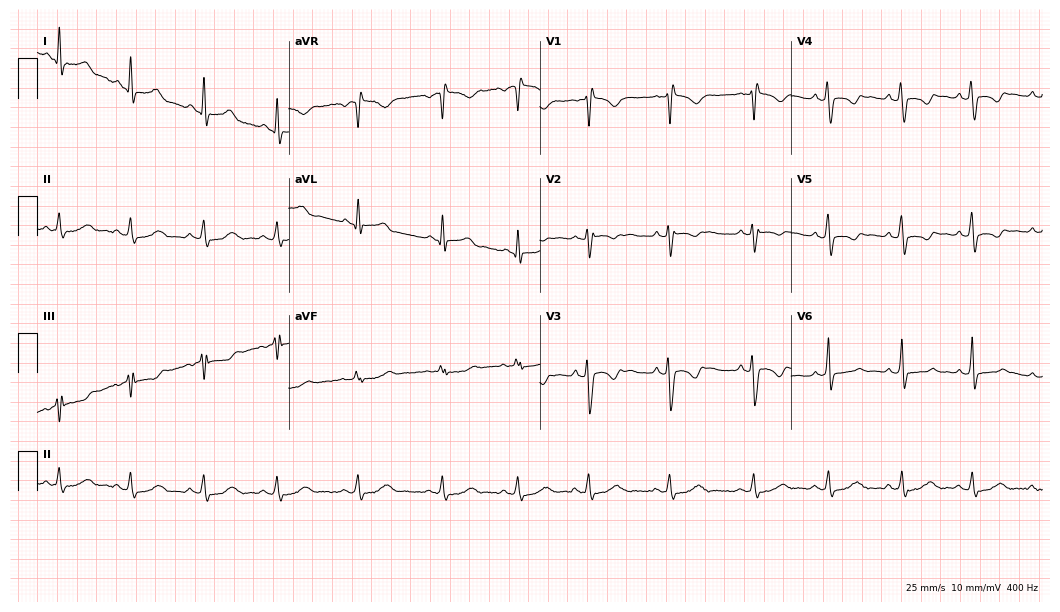
Electrocardiogram, a female patient, 33 years old. Of the six screened findings (first-degree AV block, right bundle branch block, left bundle branch block, sinus bradycardia, atrial fibrillation, sinus tachycardia), none is recorded. Findings outside these six are not listed.